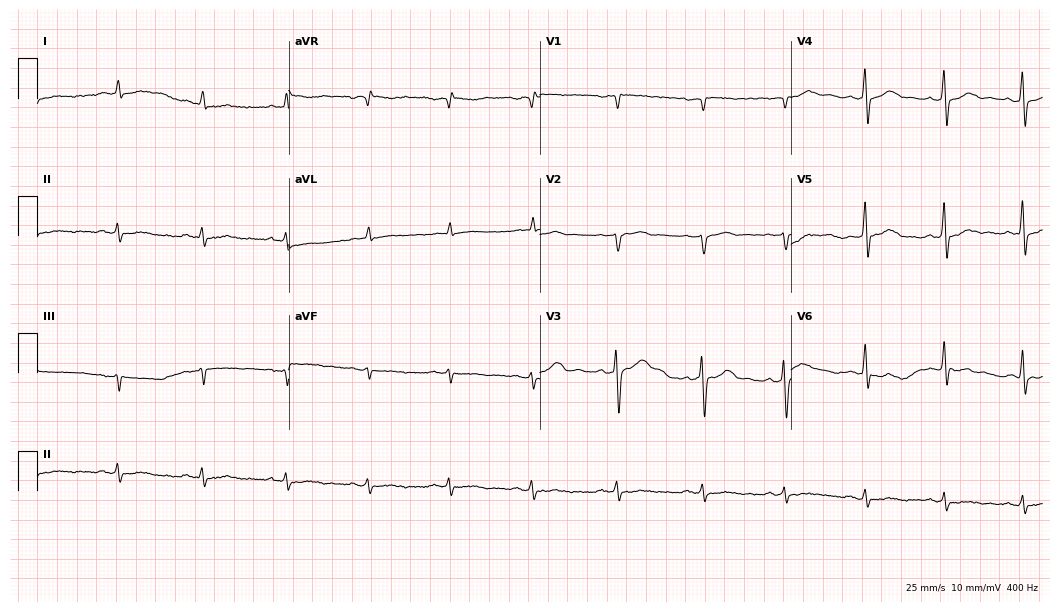
12-lead ECG from a 55-year-old male. No first-degree AV block, right bundle branch block, left bundle branch block, sinus bradycardia, atrial fibrillation or sinus tachycardia recorded for this tracing.